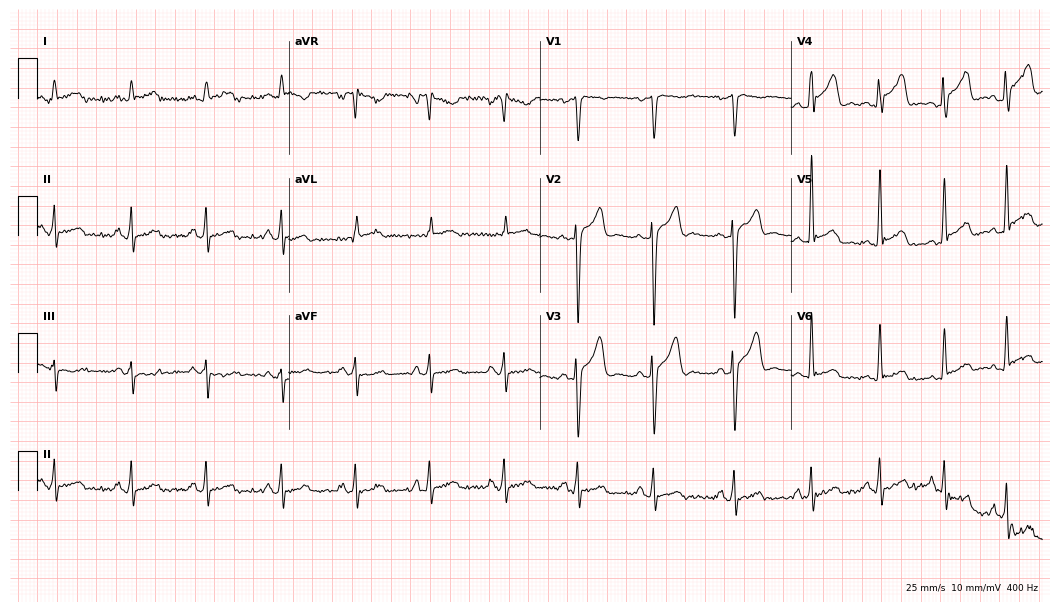
12-lead ECG from a male, 30 years old. No first-degree AV block, right bundle branch block, left bundle branch block, sinus bradycardia, atrial fibrillation or sinus tachycardia recorded for this tracing.